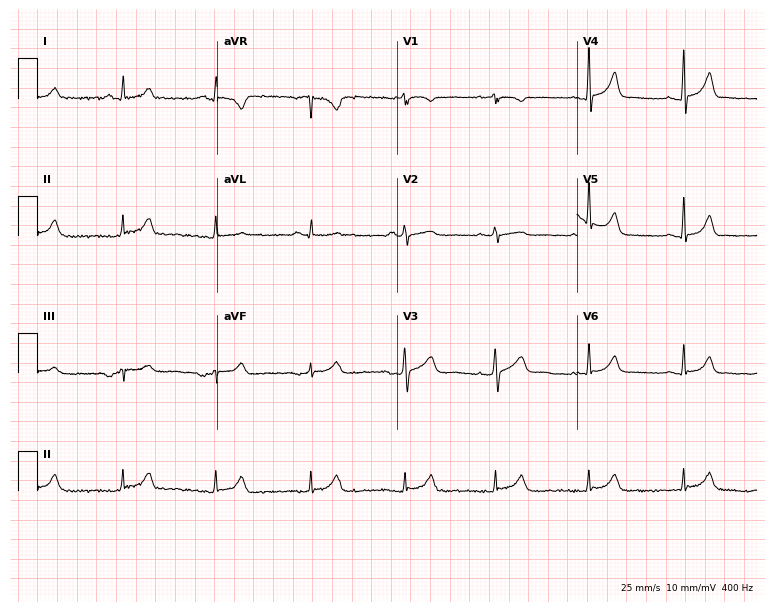
Resting 12-lead electrocardiogram (7.3-second recording at 400 Hz). Patient: a man, 71 years old. Read as a normal ECG.